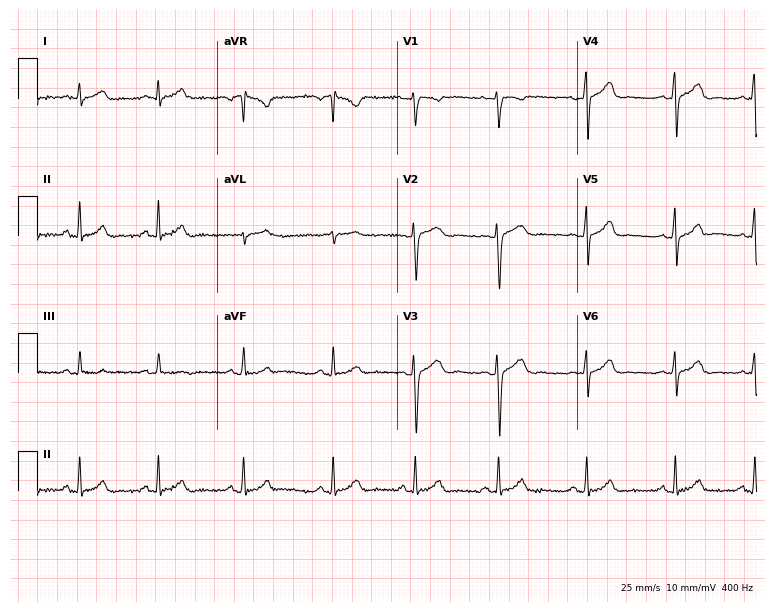
12-lead ECG (7.3-second recording at 400 Hz) from a female patient, 18 years old. Labelled as a normal ECG.